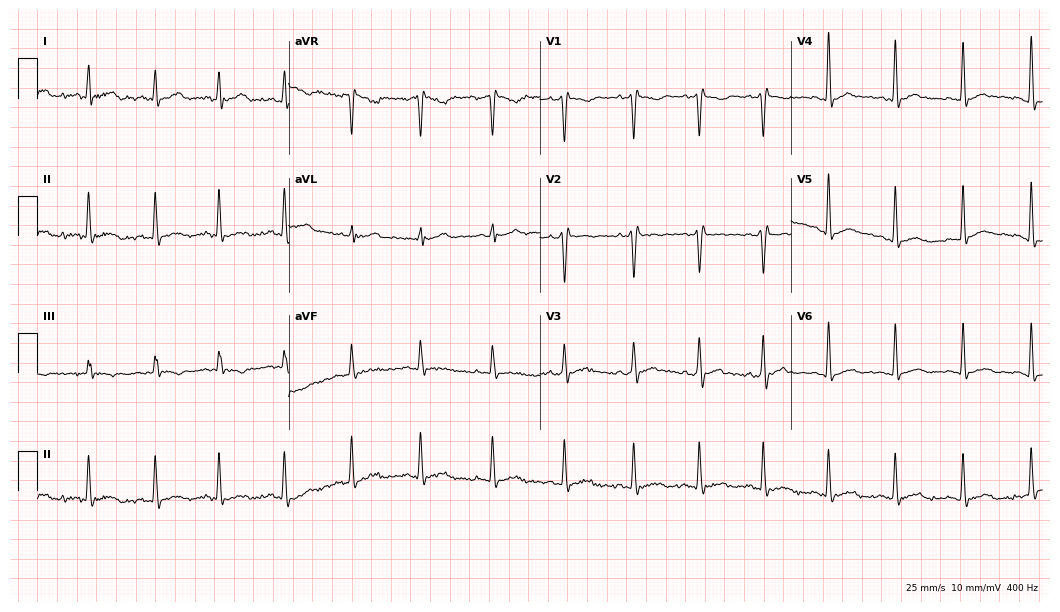
Resting 12-lead electrocardiogram (10.2-second recording at 400 Hz). Patient: a man, 22 years old. None of these six findings is recorded: first-degree AV block, right bundle branch block, left bundle branch block, sinus bradycardia, atrial fibrillation, sinus tachycardia.